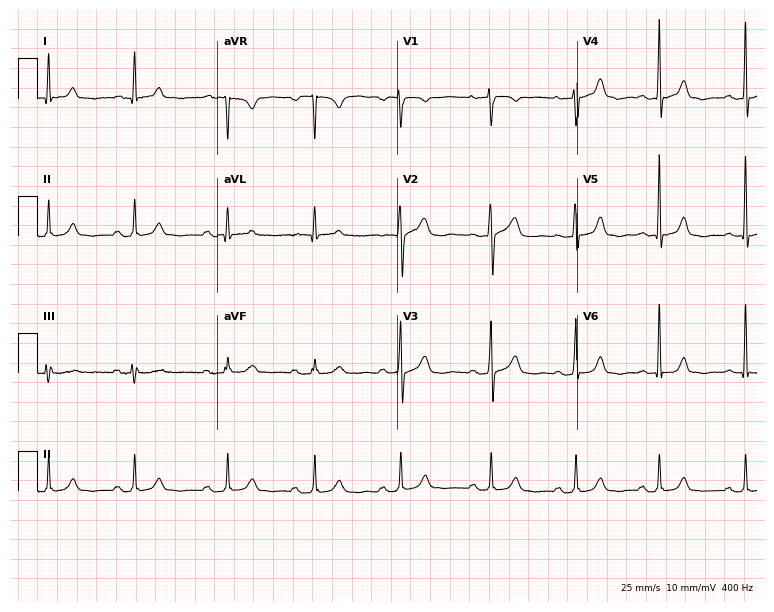
Standard 12-lead ECG recorded from a female patient, 53 years old. The tracing shows first-degree AV block.